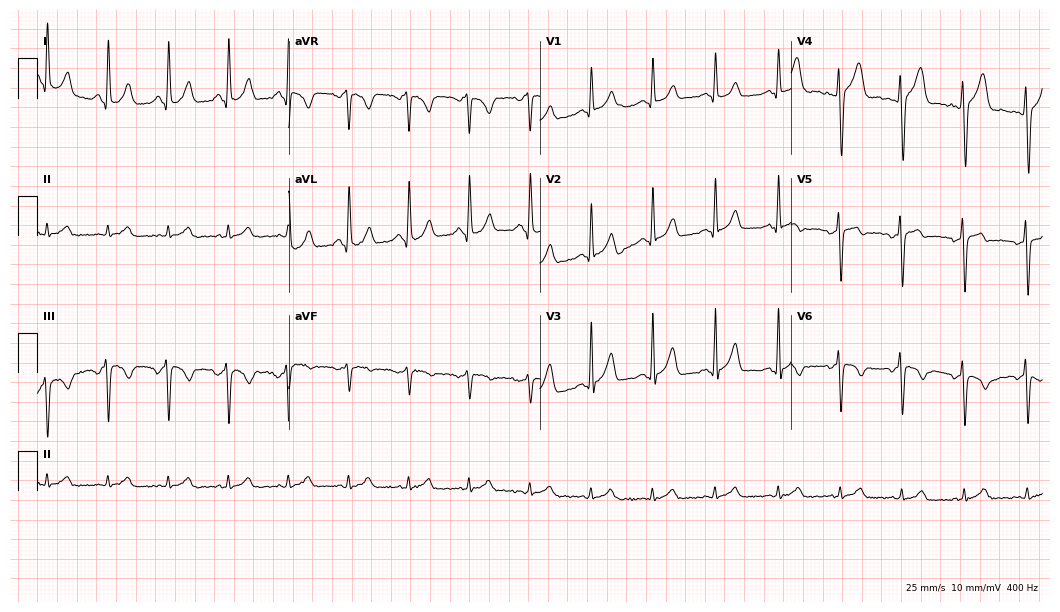
12-lead ECG (10.2-second recording at 400 Hz) from a 28-year-old male patient. Screened for six findings — first-degree AV block, right bundle branch block, left bundle branch block, sinus bradycardia, atrial fibrillation, sinus tachycardia — none is recorded. Only these six findings were labelled.